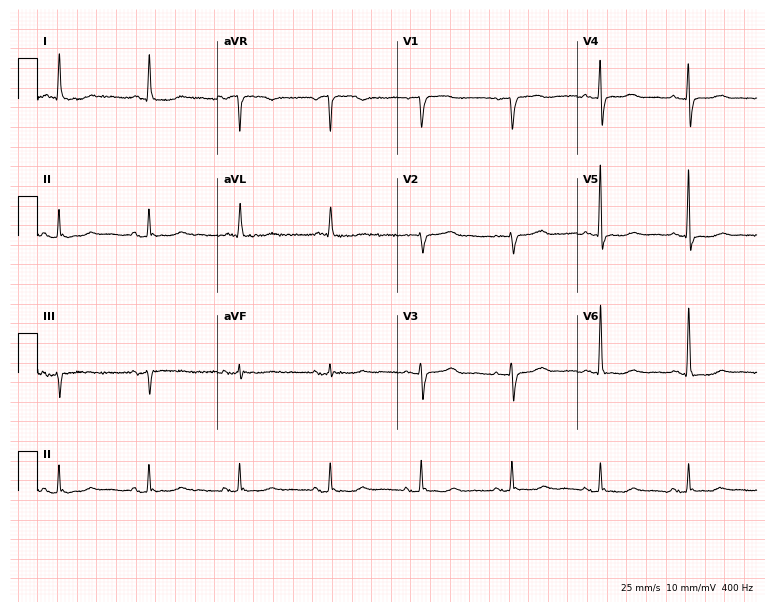
12-lead ECG from a woman, 83 years old. Screened for six findings — first-degree AV block, right bundle branch block, left bundle branch block, sinus bradycardia, atrial fibrillation, sinus tachycardia — none is recorded.